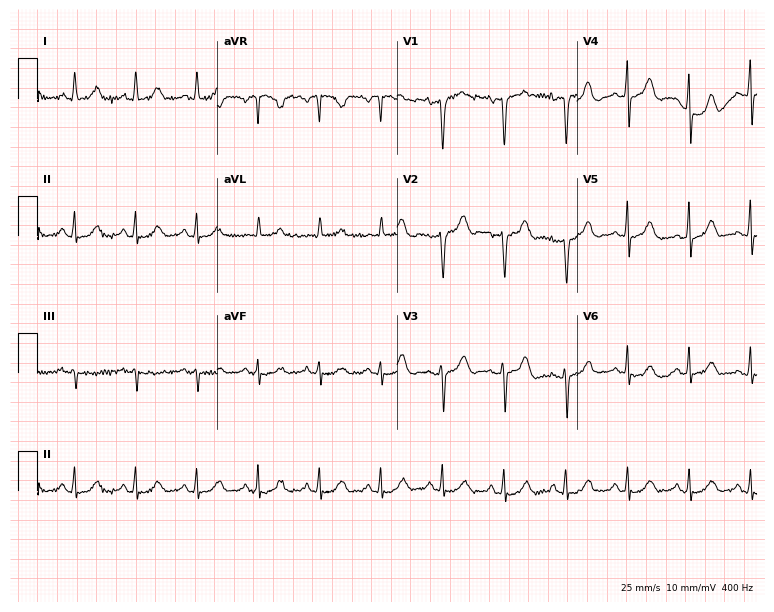
12-lead ECG from a female patient, 58 years old (7.3-second recording at 400 Hz). No first-degree AV block, right bundle branch block, left bundle branch block, sinus bradycardia, atrial fibrillation or sinus tachycardia recorded for this tracing. Other findings, if any, are not listed.